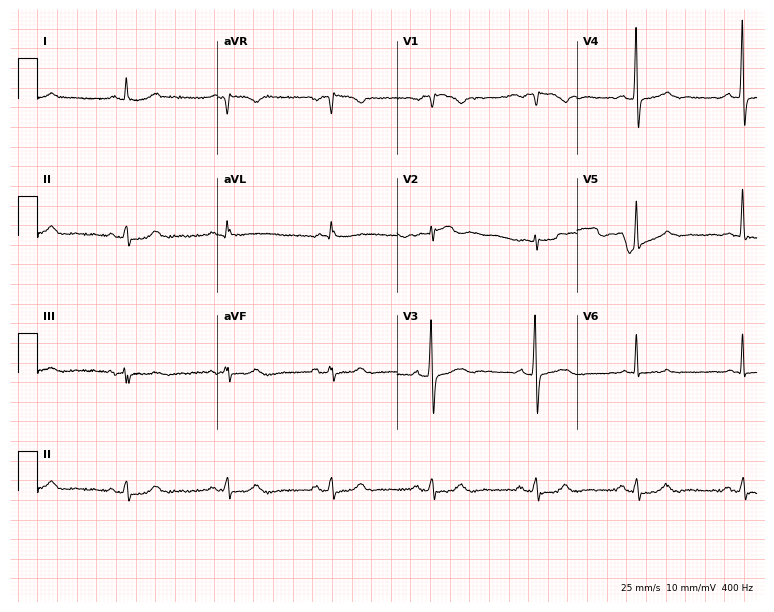
Electrocardiogram, a 70-year-old male. Overall reading on record: normal ECG.